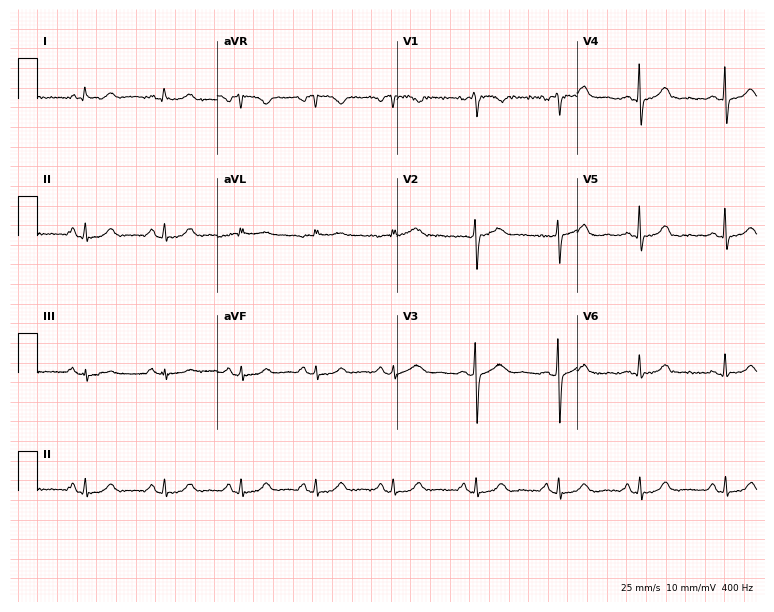
ECG (7.3-second recording at 400 Hz) — a 57-year-old female patient. Labelled as a normal ECG.